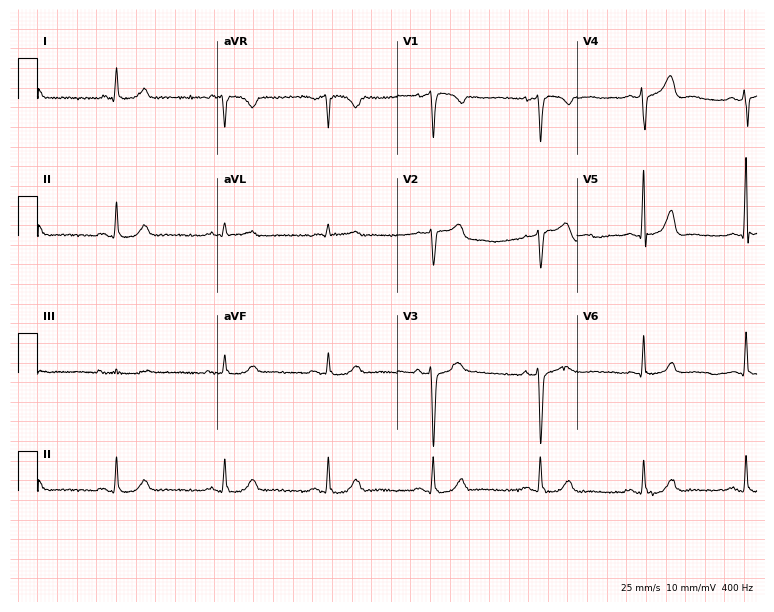
ECG (7.3-second recording at 400 Hz) — a male, 74 years old. Screened for six findings — first-degree AV block, right bundle branch block (RBBB), left bundle branch block (LBBB), sinus bradycardia, atrial fibrillation (AF), sinus tachycardia — none is recorded. Other findings, if any, are not listed.